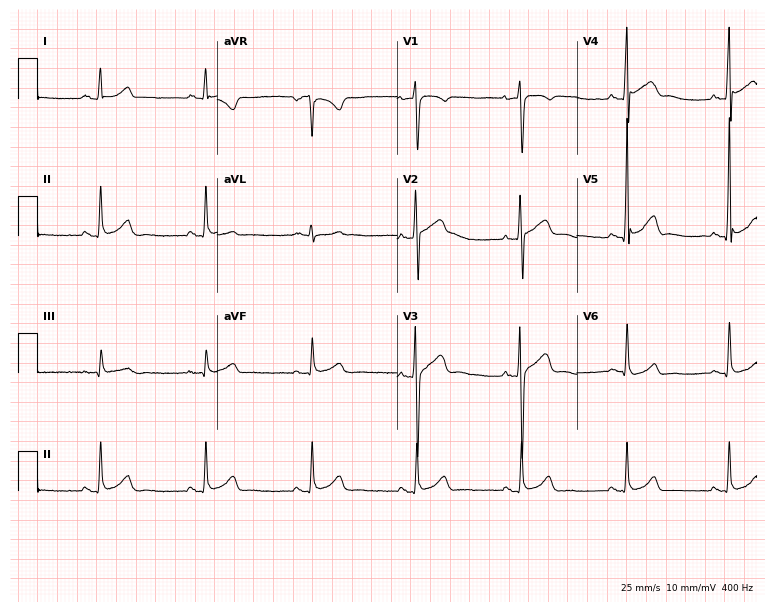
Standard 12-lead ECG recorded from a 33-year-old male patient (7.3-second recording at 400 Hz). None of these six findings is recorded: first-degree AV block, right bundle branch block, left bundle branch block, sinus bradycardia, atrial fibrillation, sinus tachycardia. Other findings, if any, are not listed.